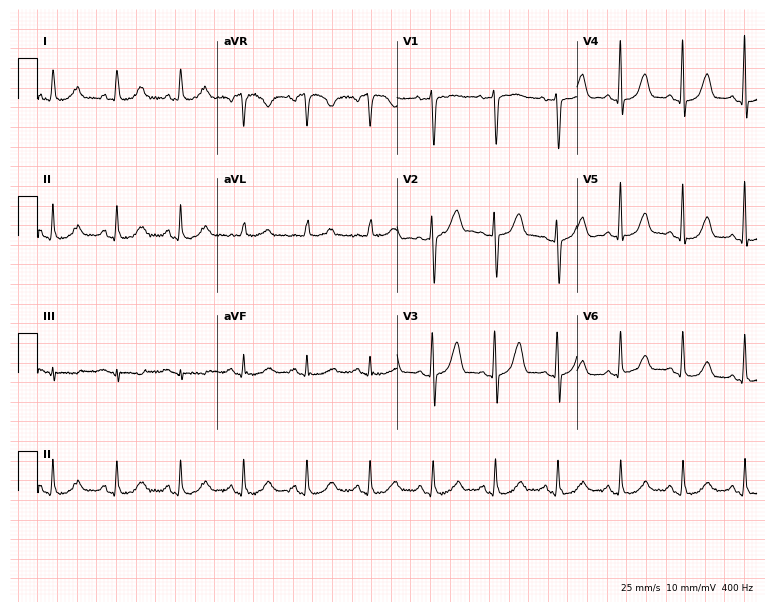
ECG (7.3-second recording at 400 Hz) — a woman, 57 years old. Labelled as a normal ECG.